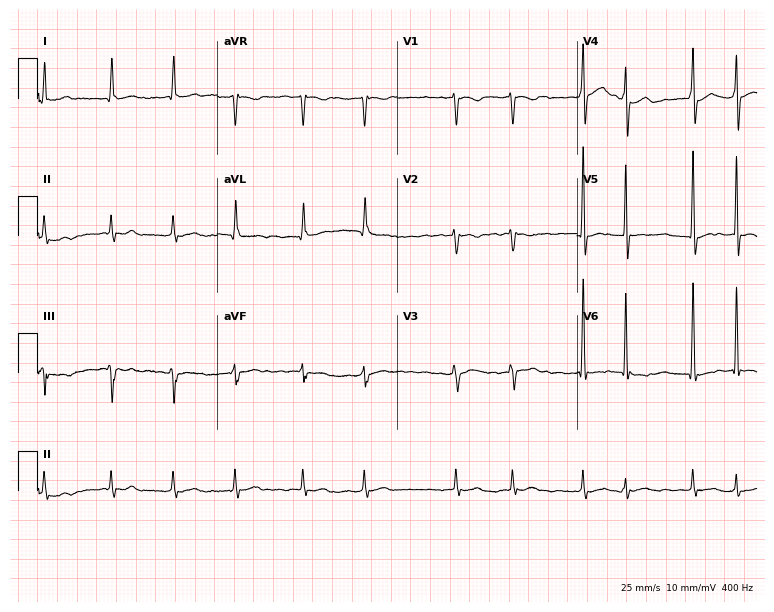
Electrocardiogram (7.3-second recording at 400 Hz), a 67-year-old male patient. Of the six screened findings (first-degree AV block, right bundle branch block, left bundle branch block, sinus bradycardia, atrial fibrillation, sinus tachycardia), none is recorded.